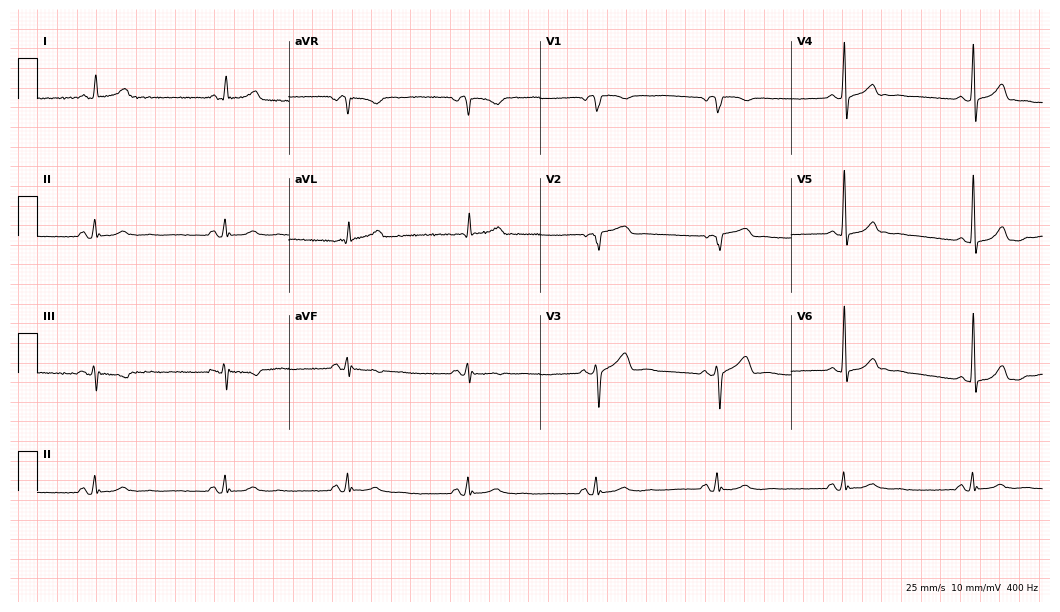
Resting 12-lead electrocardiogram (10.2-second recording at 400 Hz). Patient: a 53-year-old female. The tracing shows sinus bradycardia (a sinus rate of 50 beats per minute or less).